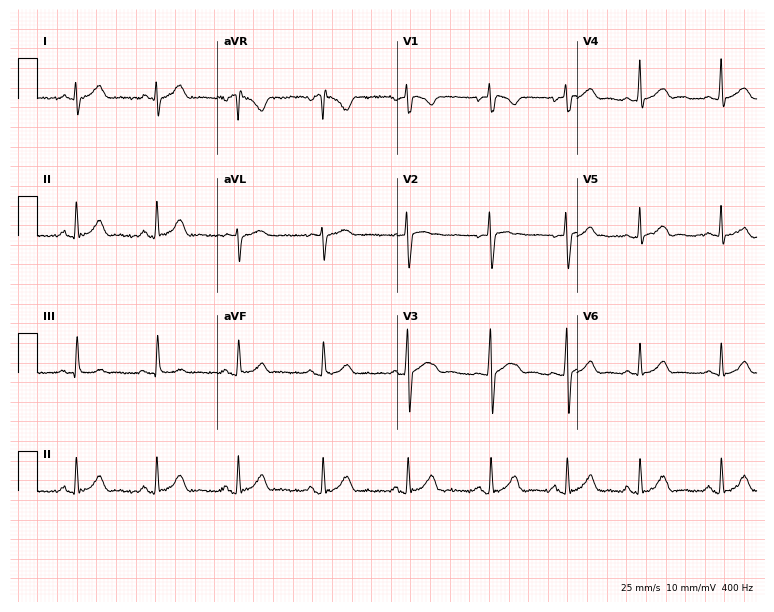
ECG — a female, 26 years old. Labelled as a normal ECG.